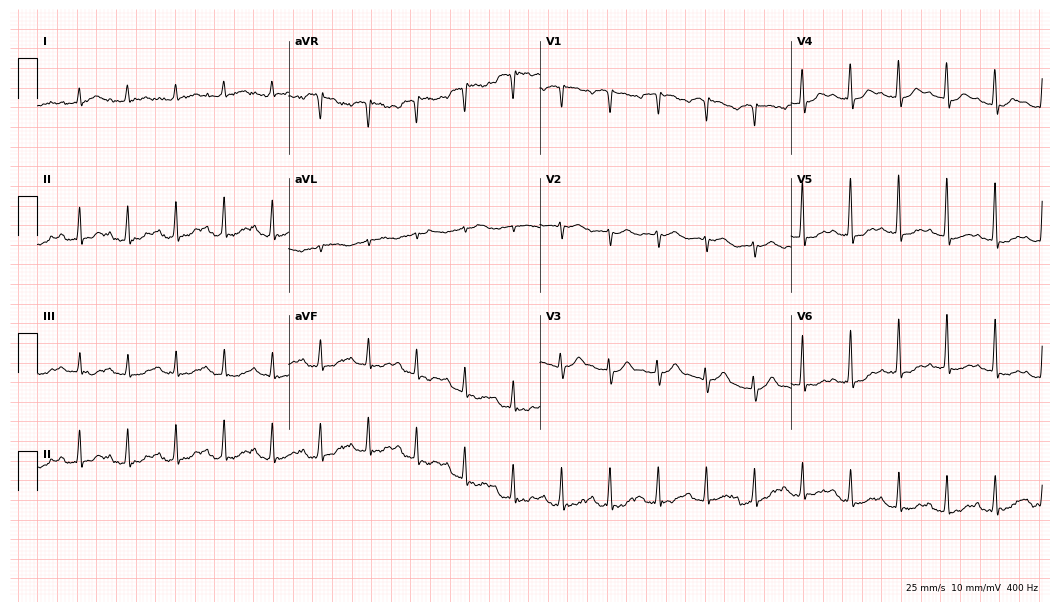
ECG — a male patient, 81 years old. Findings include sinus tachycardia (a sinus rate of 100 beats per minute or more).